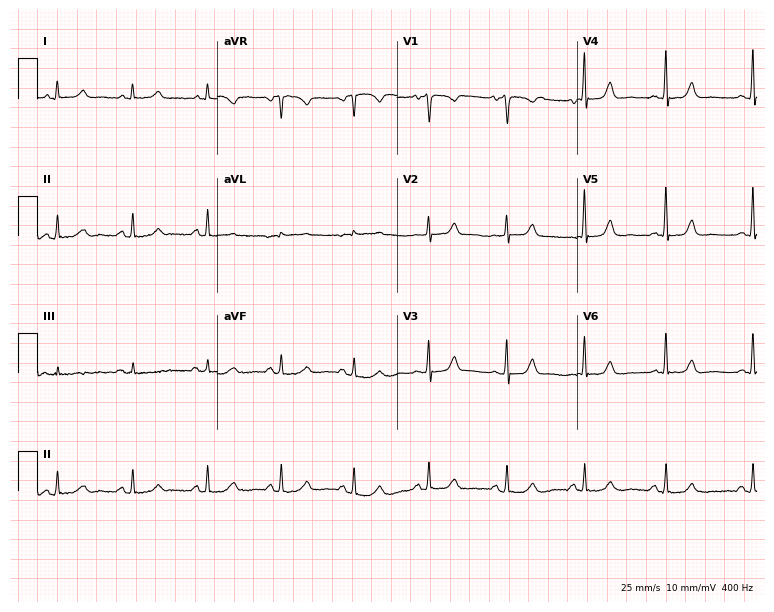
Electrocardiogram, a female, 59 years old. Overall reading on record: normal ECG.